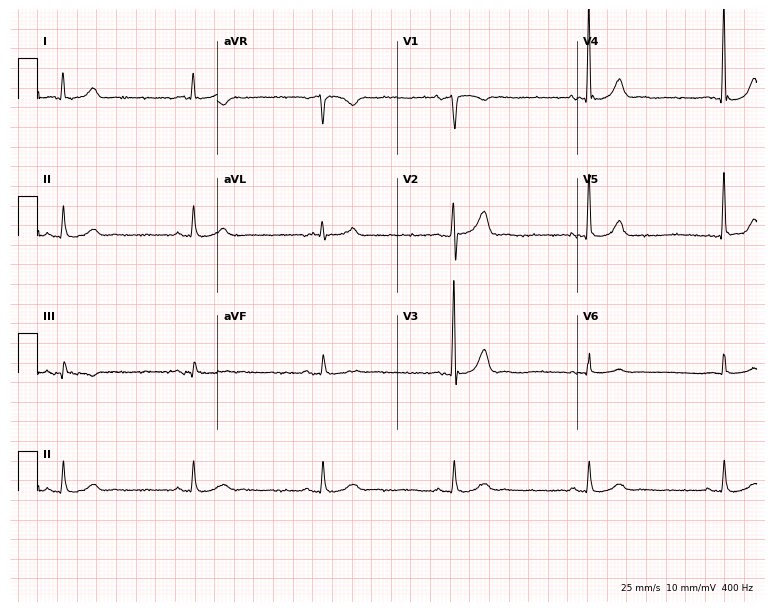
Resting 12-lead electrocardiogram (7.3-second recording at 400 Hz). Patient: a male, 76 years old. The tracing shows sinus bradycardia (a sinus rate of 50 beats per minute or less).